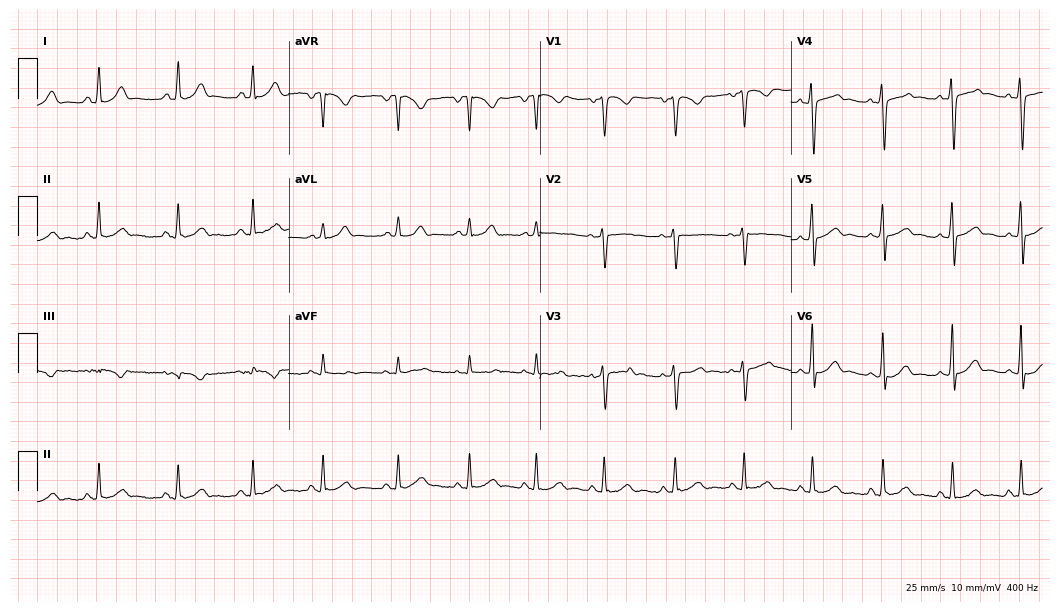
ECG — a female patient, 26 years old. Labelled as a normal ECG.